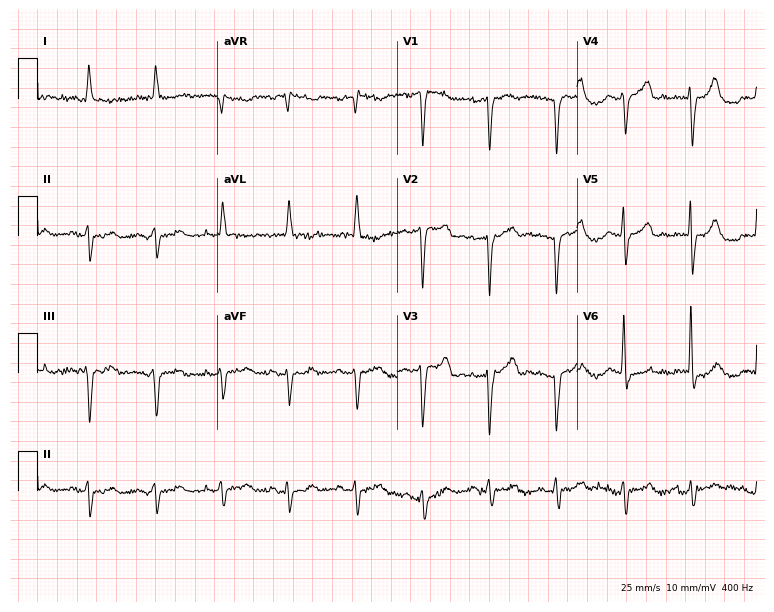
Electrocardiogram (7.3-second recording at 400 Hz), an 80-year-old male patient. Of the six screened findings (first-degree AV block, right bundle branch block, left bundle branch block, sinus bradycardia, atrial fibrillation, sinus tachycardia), none is recorded. Other findings, if any, are not listed.